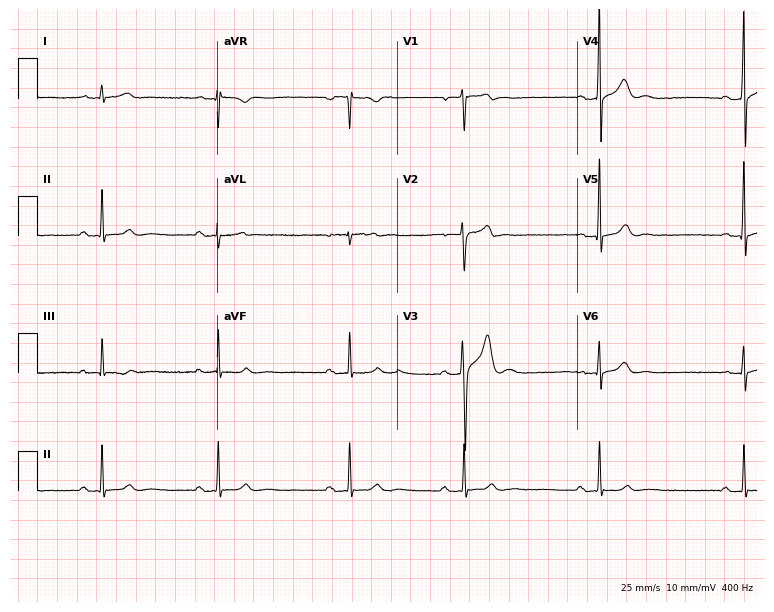
12-lead ECG from a 34-year-old male patient. Shows first-degree AV block, sinus bradycardia (a sinus rate of 50 beats per minute or less).